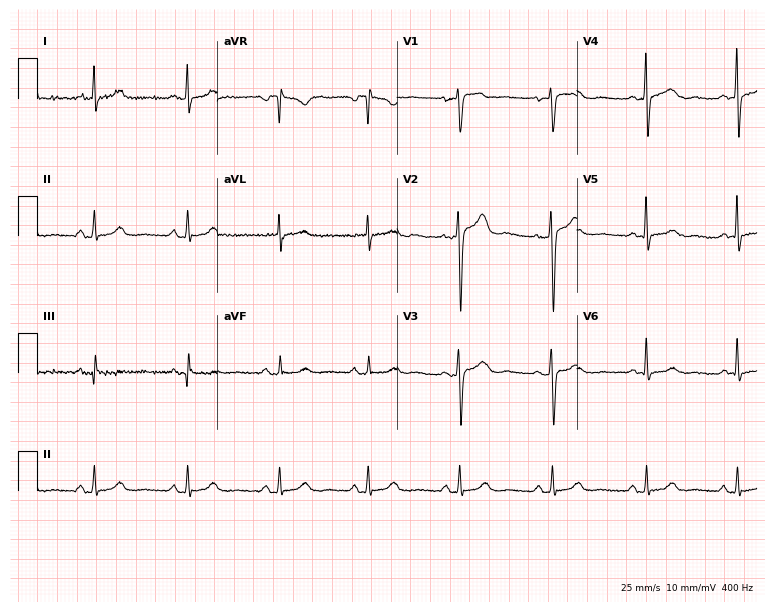
12-lead ECG (7.3-second recording at 400 Hz) from a male patient, 61 years old. Labelled as a normal ECG.